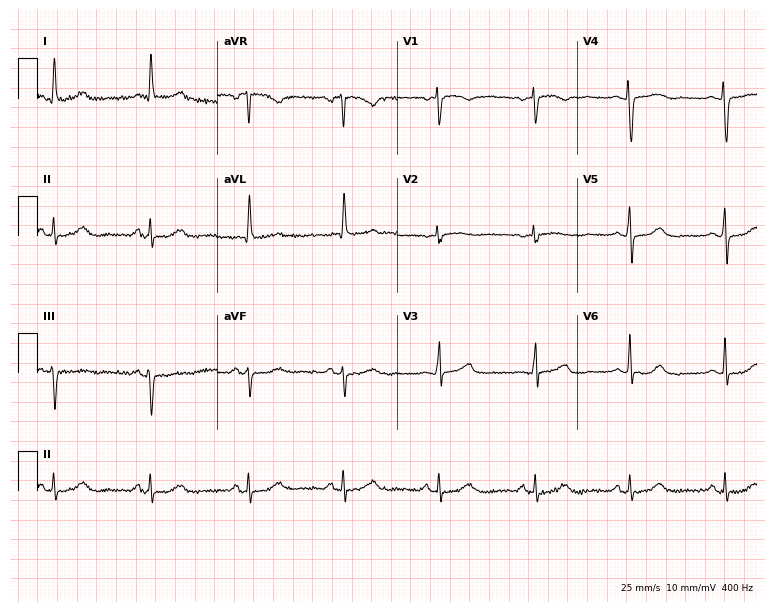
ECG (7.3-second recording at 400 Hz) — a female patient, 58 years old. Labelled as a normal ECG.